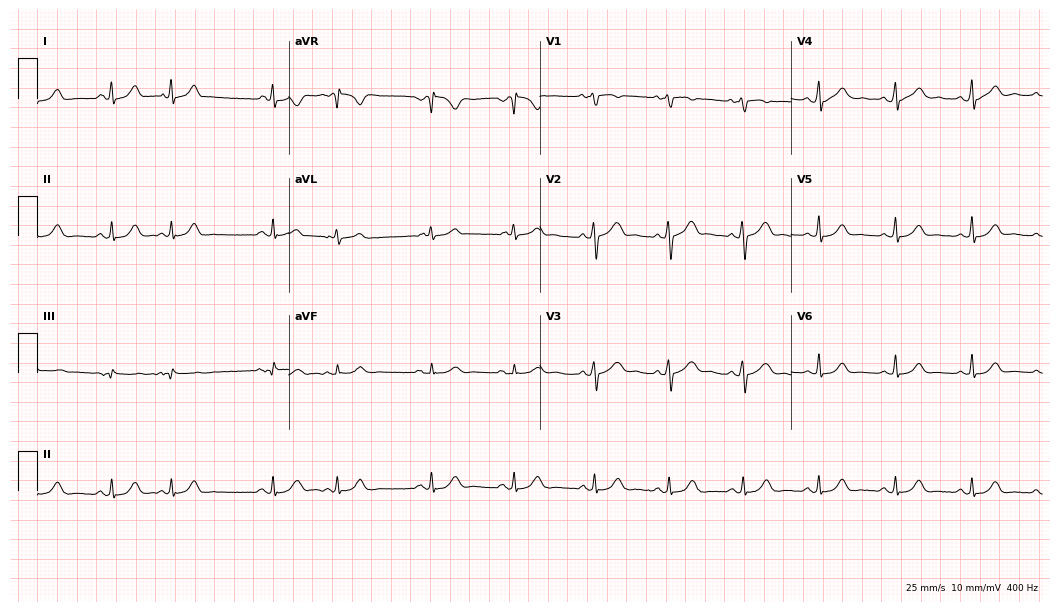
Electrocardiogram, a 24-year-old woman. Overall reading on record: normal ECG.